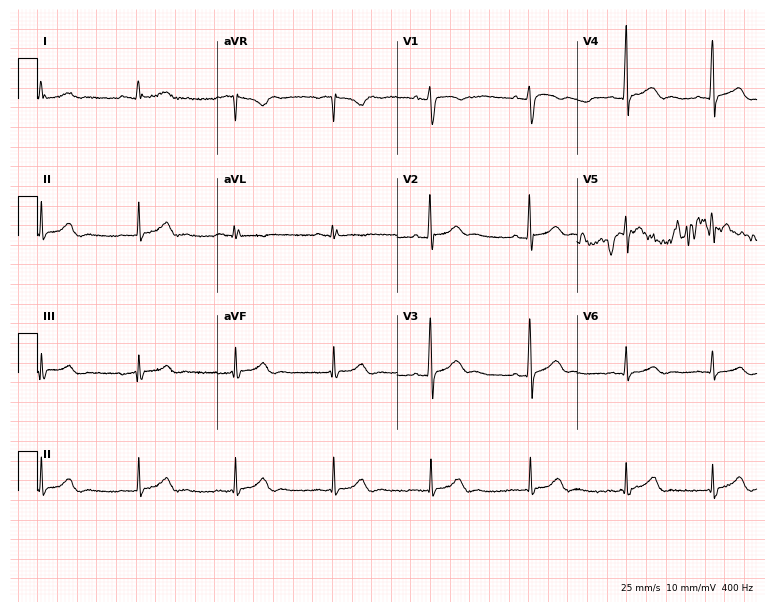
Electrocardiogram (7.3-second recording at 400 Hz), a male, 20 years old. Overall reading on record: normal ECG.